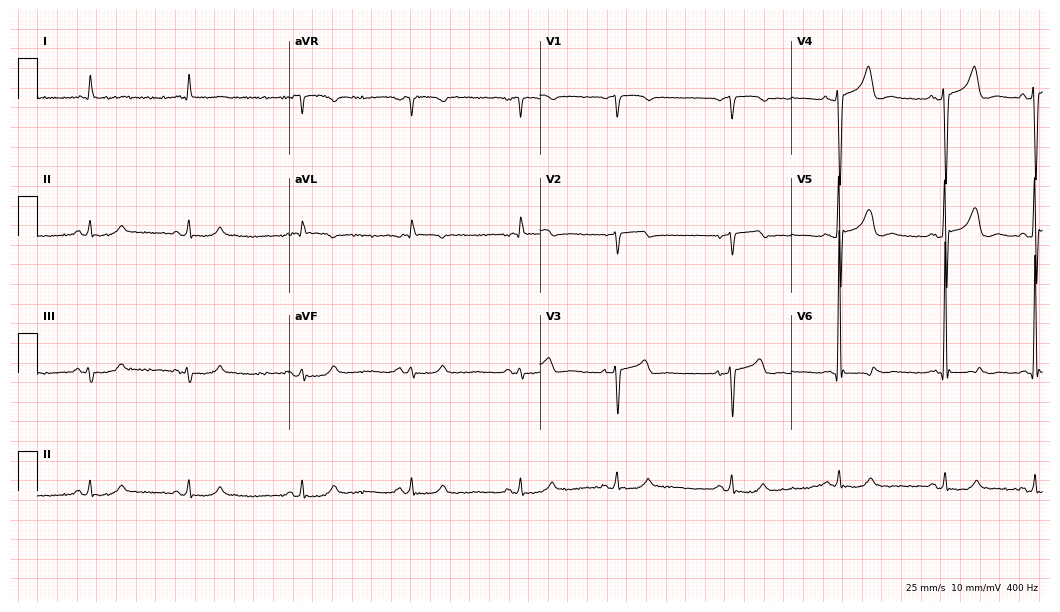
12-lead ECG from an 83-year-old male patient (10.2-second recording at 400 Hz). No first-degree AV block, right bundle branch block, left bundle branch block, sinus bradycardia, atrial fibrillation or sinus tachycardia recorded for this tracing.